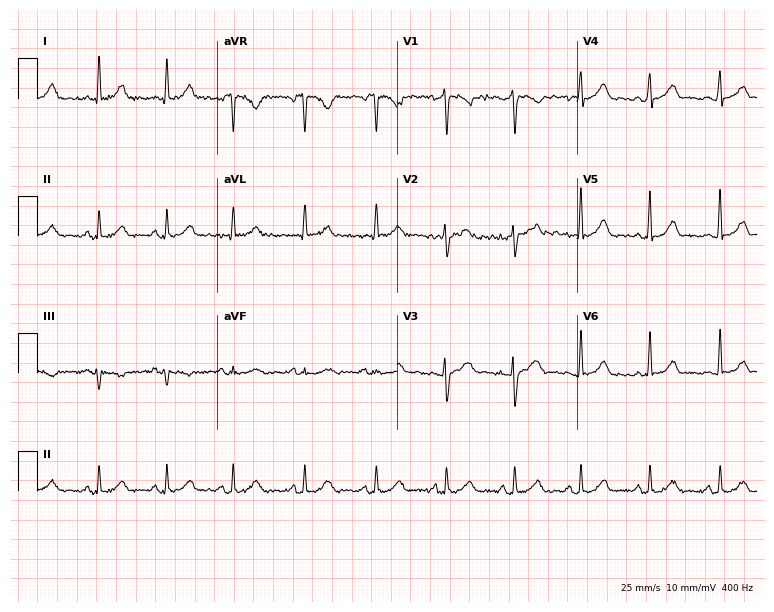
ECG (7.3-second recording at 400 Hz) — a 36-year-old woman. Labelled as a normal ECG.